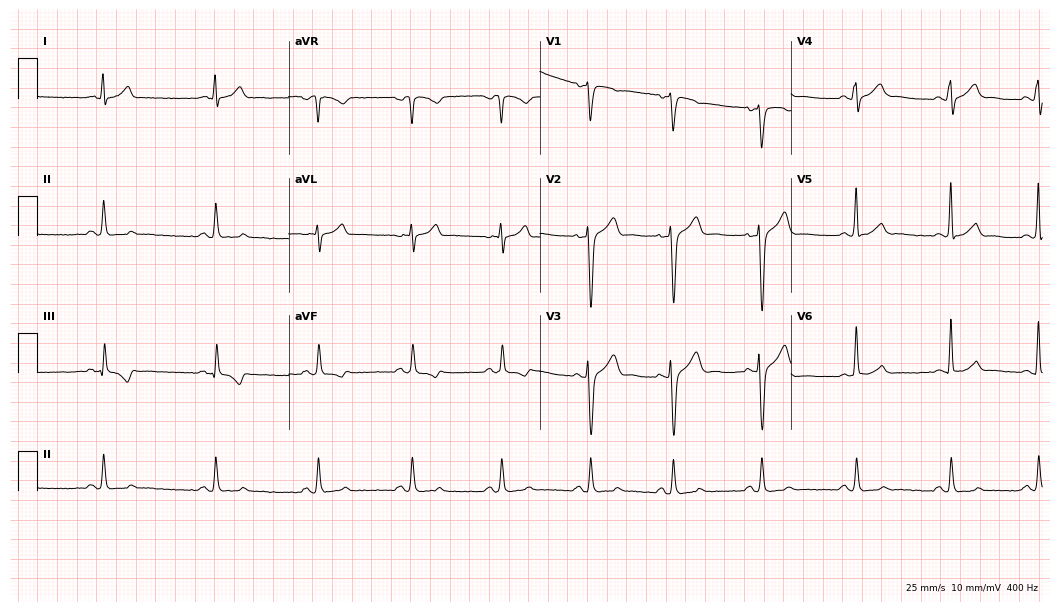
12-lead ECG from a 47-year-old male patient. Screened for six findings — first-degree AV block, right bundle branch block, left bundle branch block, sinus bradycardia, atrial fibrillation, sinus tachycardia — none is recorded.